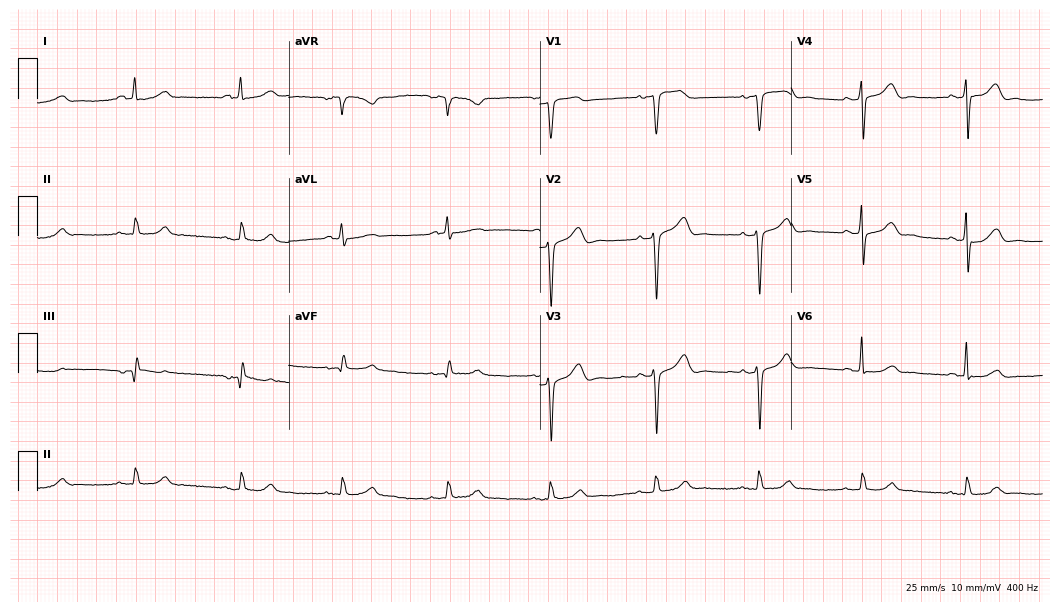
Electrocardiogram (10.2-second recording at 400 Hz), a 68-year-old female patient. Overall reading on record: normal ECG.